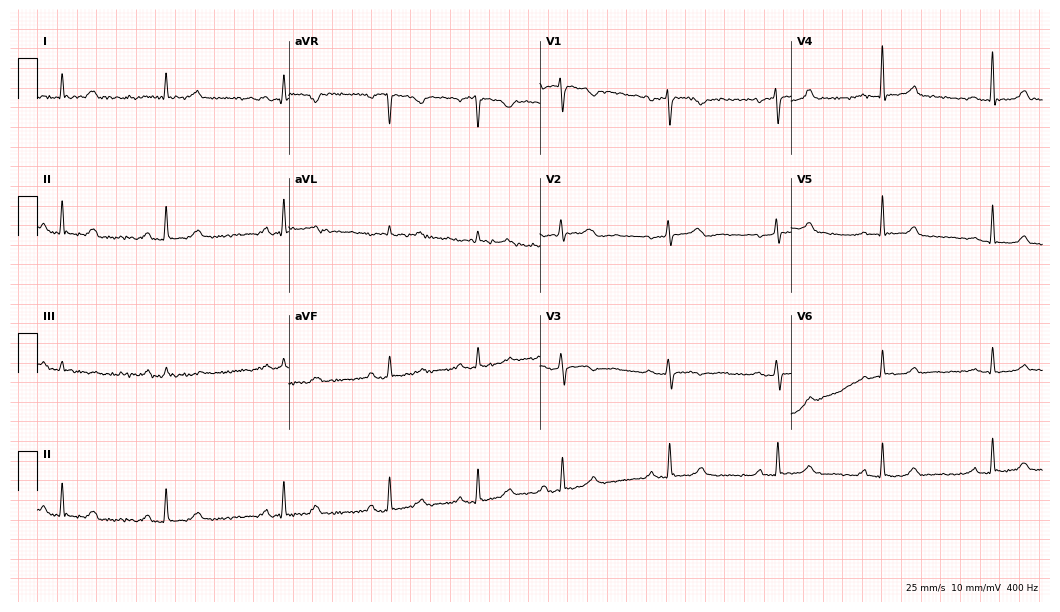
ECG — a 37-year-old female patient. Screened for six findings — first-degree AV block, right bundle branch block, left bundle branch block, sinus bradycardia, atrial fibrillation, sinus tachycardia — none is recorded.